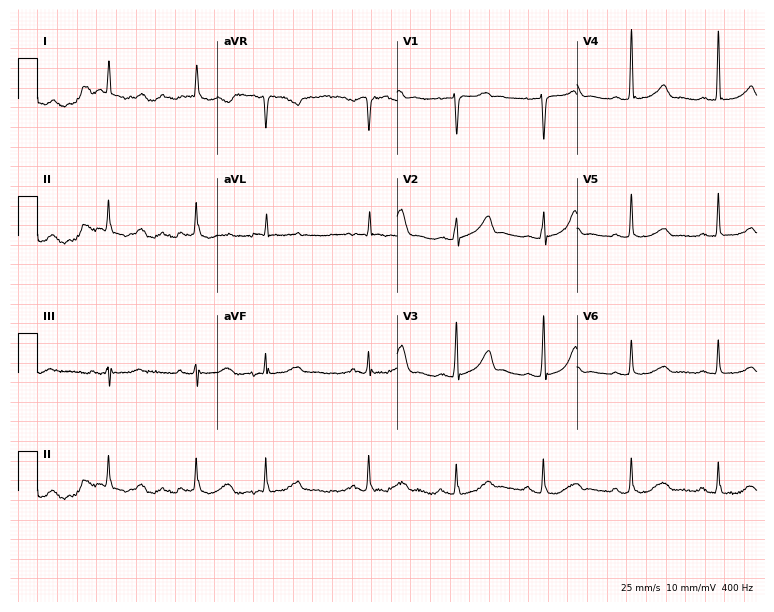
Electrocardiogram, a female patient, 84 years old. Of the six screened findings (first-degree AV block, right bundle branch block, left bundle branch block, sinus bradycardia, atrial fibrillation, sinus tachycardia), none is recorded.